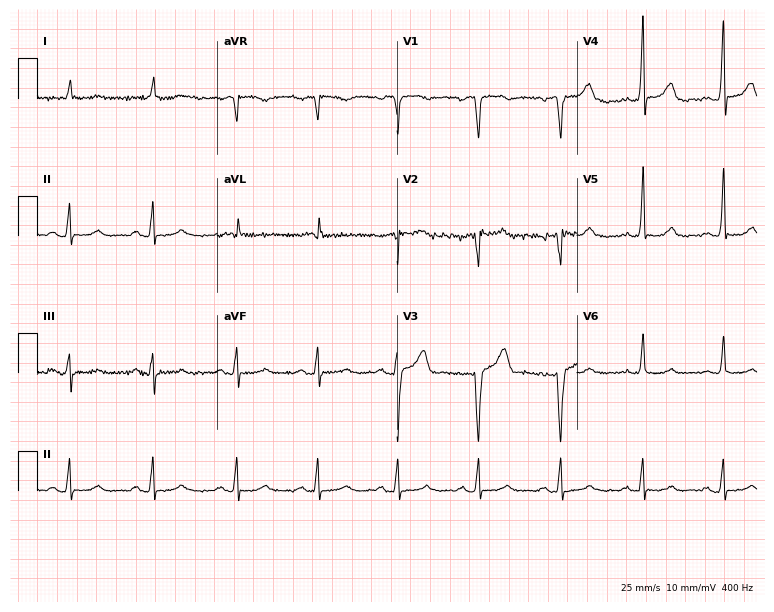
12-lead ECG from a 75-year-old female patient. Screened for six findings — first-degree AV block, right bundle branch block, left bundle branch block, sinus bradycardia, atrial fibrillation, sinus tachycardia — none is recorded. Other findings, if any, are not listed.